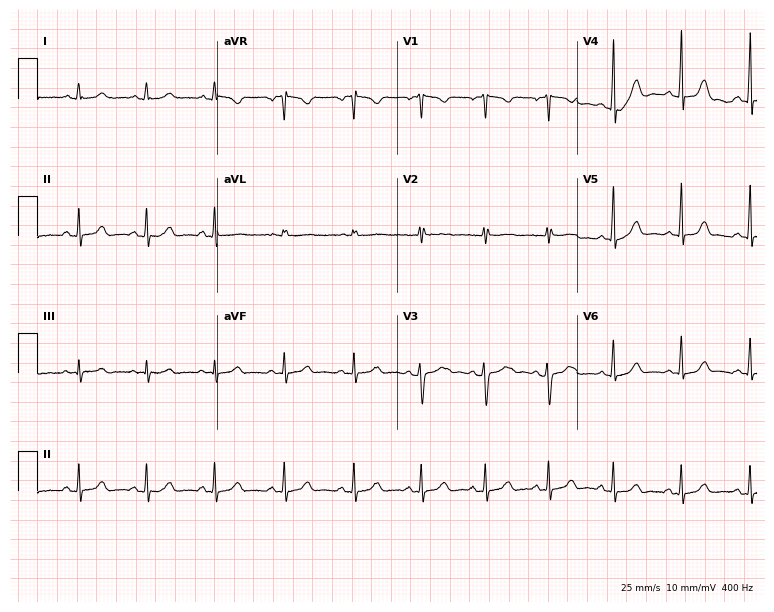
Electrocardiogram (7.3-second recording at 400 Hz), a female patient, 18 years old. Overall reading on record: normal ECG.